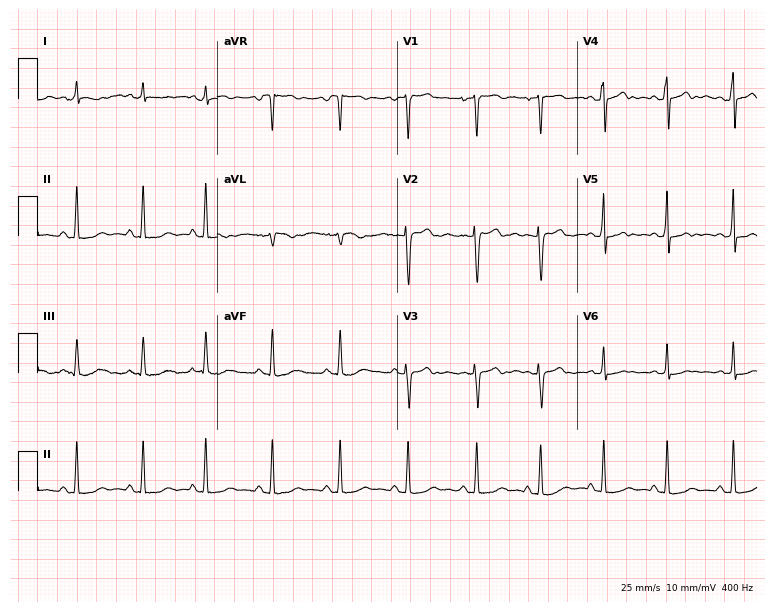
12-lead ECG from a woman, 20 years old. No first-degree AV block, right bundle branch block (RBBB), left bundle branch block (LBBB), sinus bradycardia, atrial fibrillation (AF) or sinus tachycardia recorded for this tracing. Other findings, if any, are not listed.